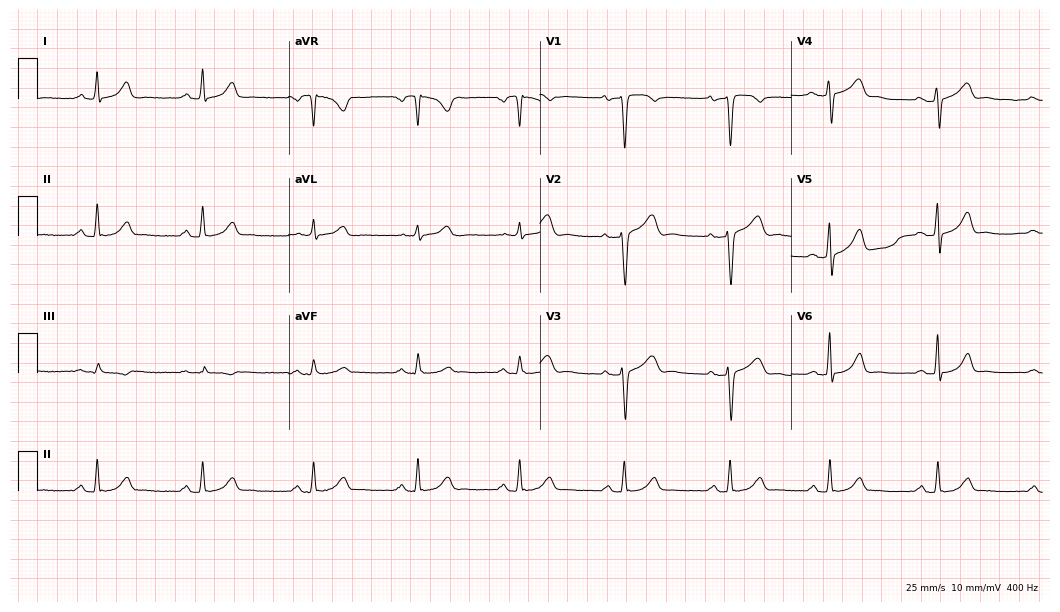
12-lead ECG from a female, 25 years old. Labelled as a normal ECG.